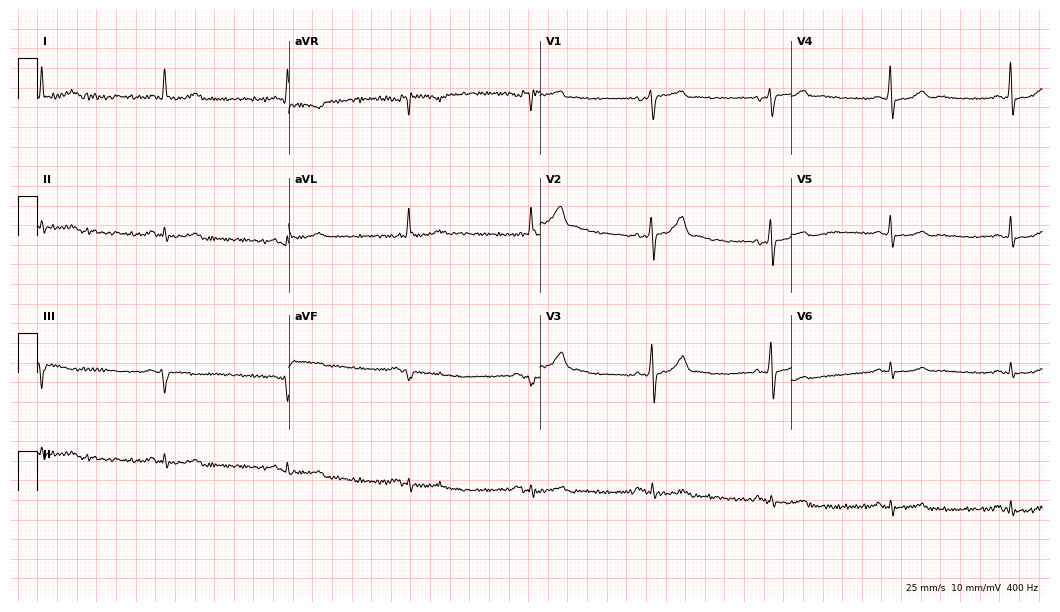
ECG (10.2-second recording at 400 Hz) — a man, 66 years old. Findings include sinus bradycardia (a sinus rate of 50 beats per minute or less).